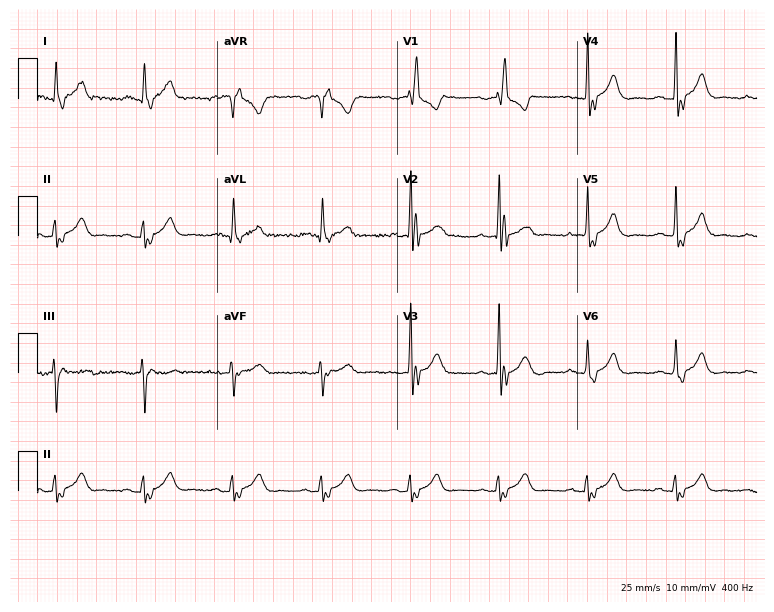
Standard 12-lead ECG recorded from a male patient, 63 years old (7.3-second recording at 400 Hz). The tracing shows right bundle branch block (RBBB).